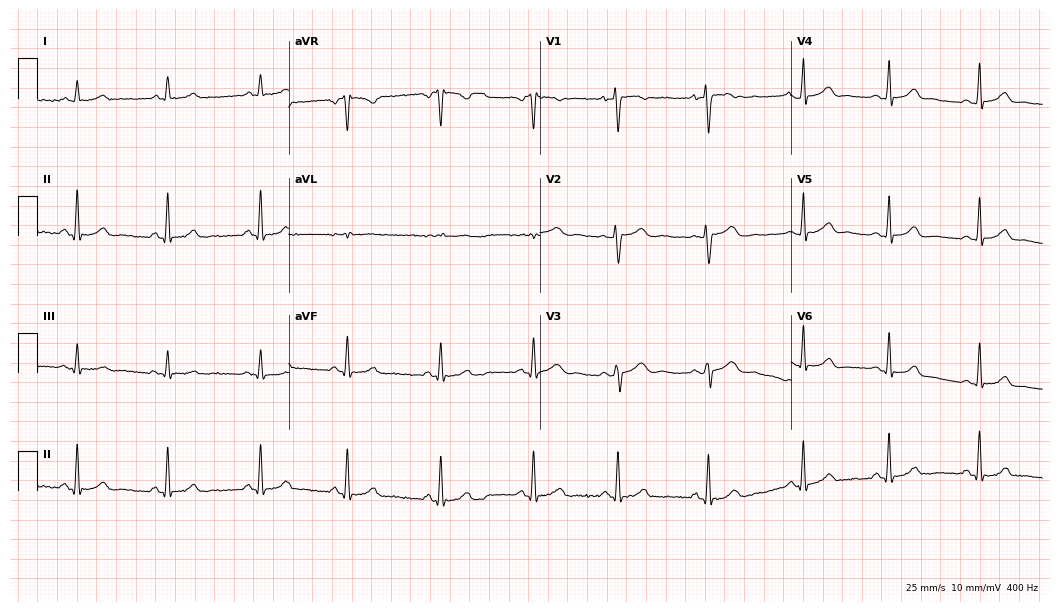
Electrocardiogram, a 25-year-old woman. Overall reading on record: normal ECG.